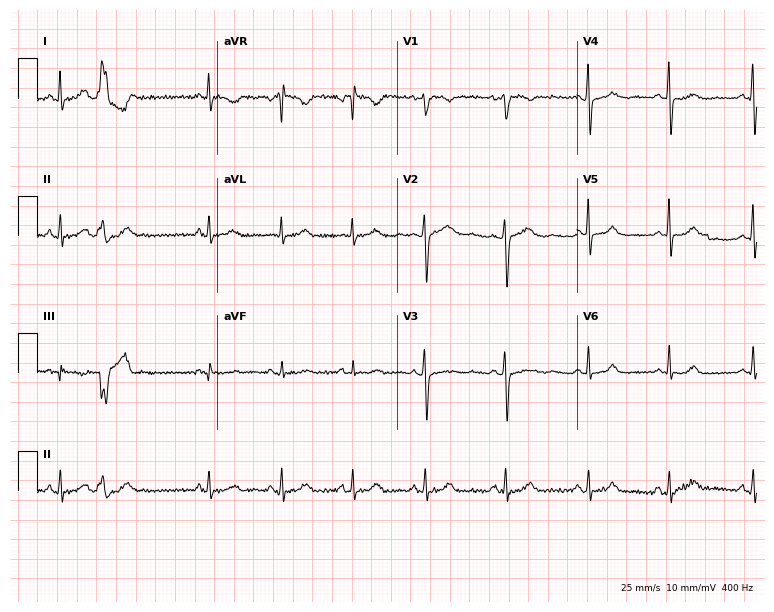
Standard 12-lead ECG recorded from a 34-year-old female (7.3-second recording at 400 Hz). None of these six findings is recorded: first-degree AV block, right bundle branch block (RBBB), left bundle branch block (LBBB), sinus bradycardia, atrial fibrillation (AF), sinus tachycardia. Findings outside these six are not listed.